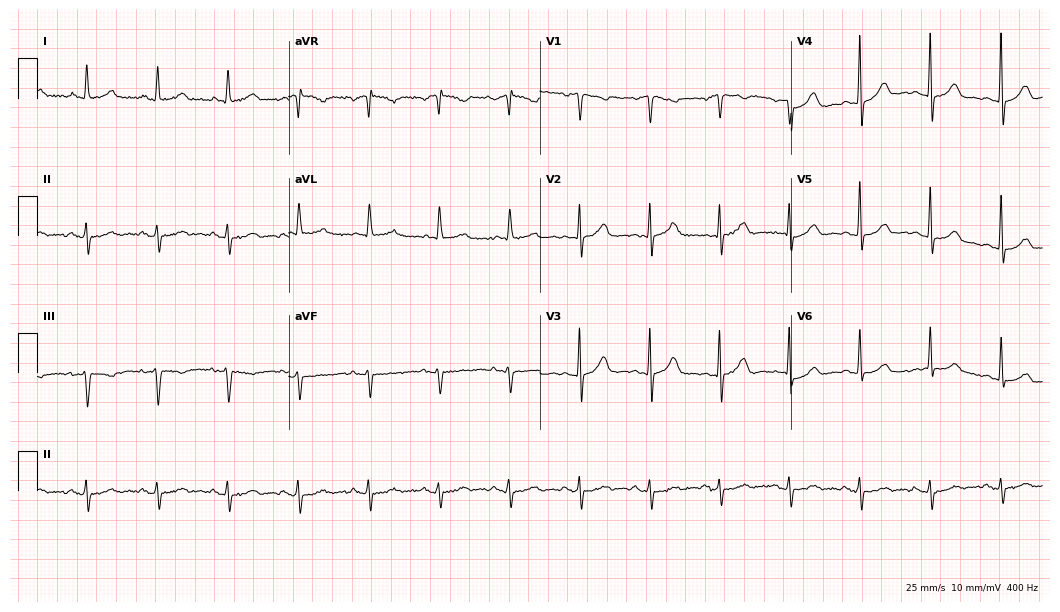
12-lead ECG (10.2-second recording at 400 Hz) from a female, 84 years old. Labelled as a normal ECG.